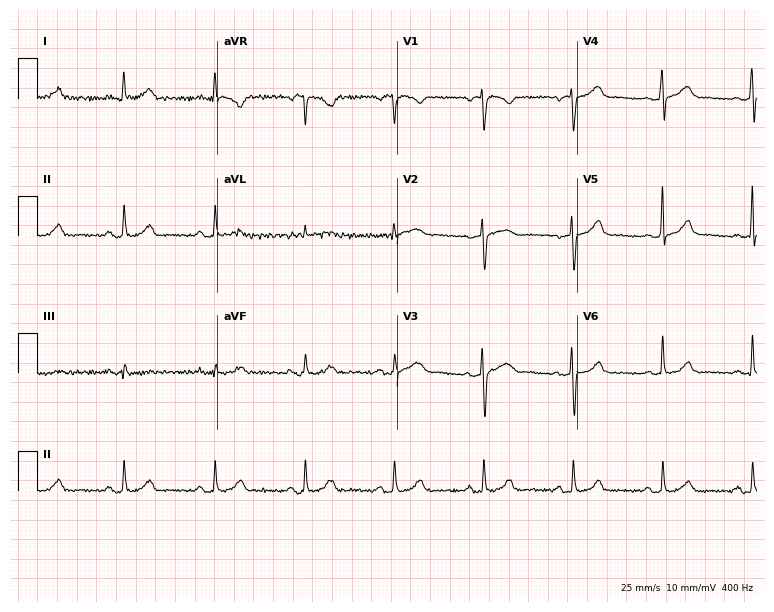
Resting 12-lead electrocardiogram. Patient: a woman, 45 years old. None of these six findings is recorded: first-degree AV block, right bundle branch block, left bundle branch block, sinus bradycardia, atrial fibrillation, sinus tachycardia.